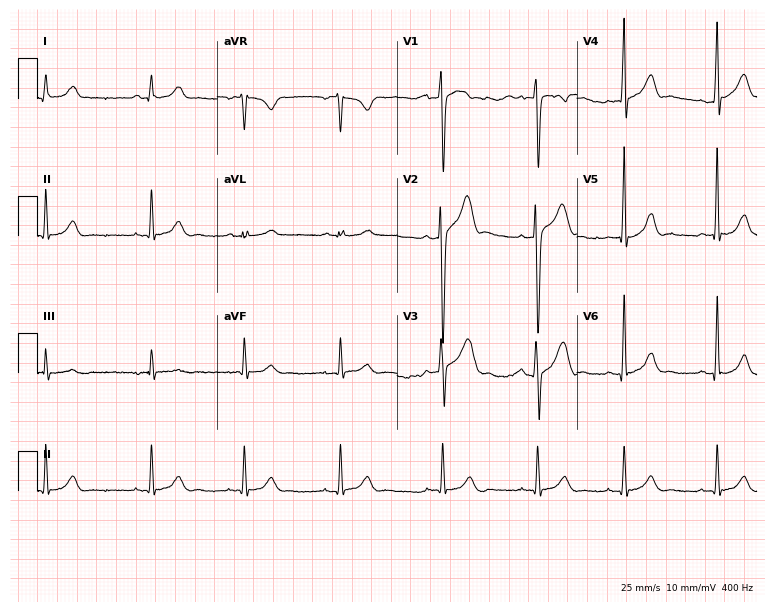
Resting 12-lead electrocardiogram. Patient: a 20-year-old man. Read as a normal ECG.